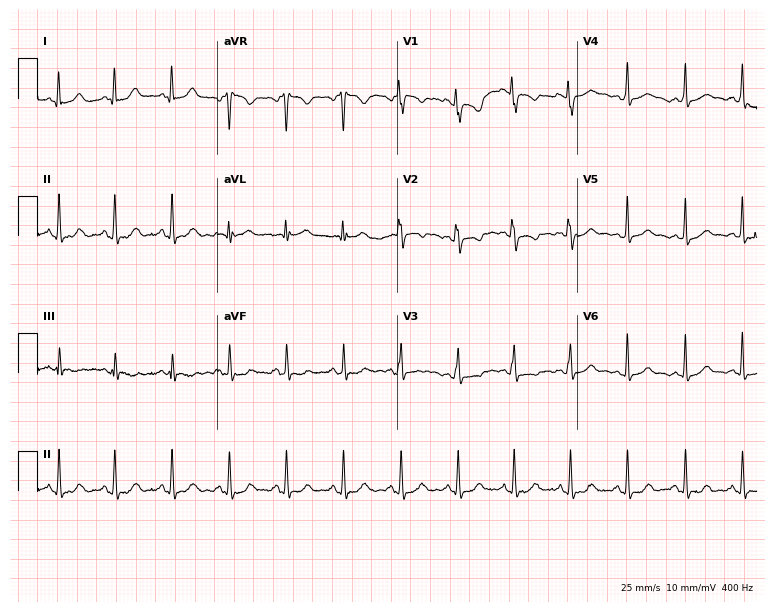
Electrocardiogram (7.3-second recording at 400 Hz), a female patient, 20 years old. Interpretation includes sinus tachycardia (a sinus rate of 100 beats per minute or more).